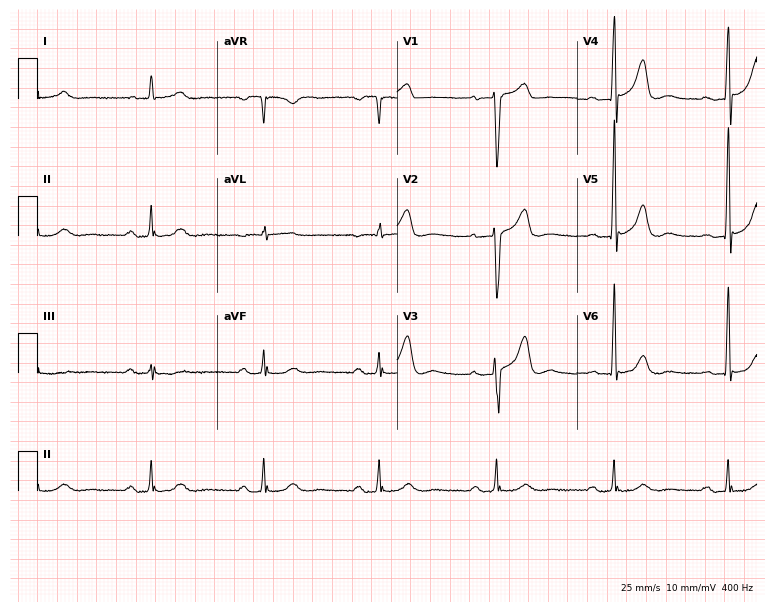
Resting 12-lead electrocardiogram. Patient: an 80-year-old man. Read as a normal ECG.